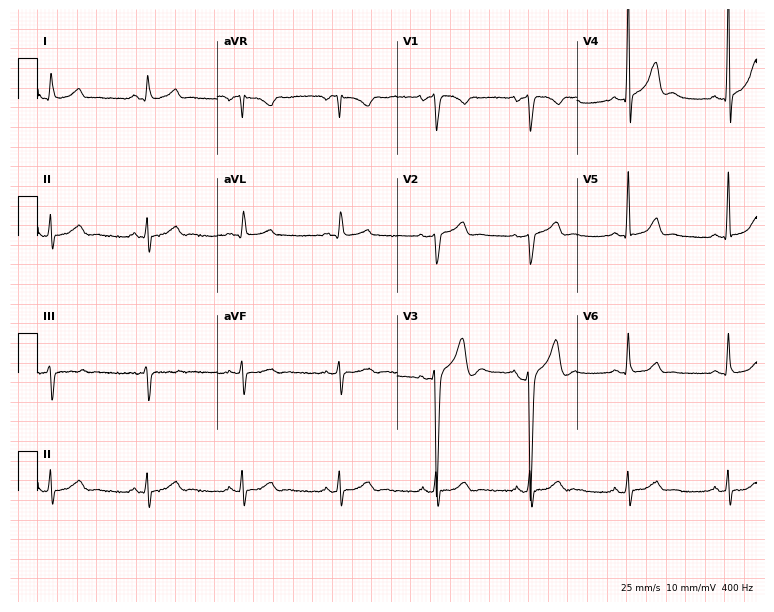
12-lead ECG from a man, 44 years old (7.3-second recording at 400 Hz). No first-degree AV block, right bundle branch block, left bundle branch block, sinus bradycardia, atrial fibrillation or sinus tachycardia recorded for this tracing.